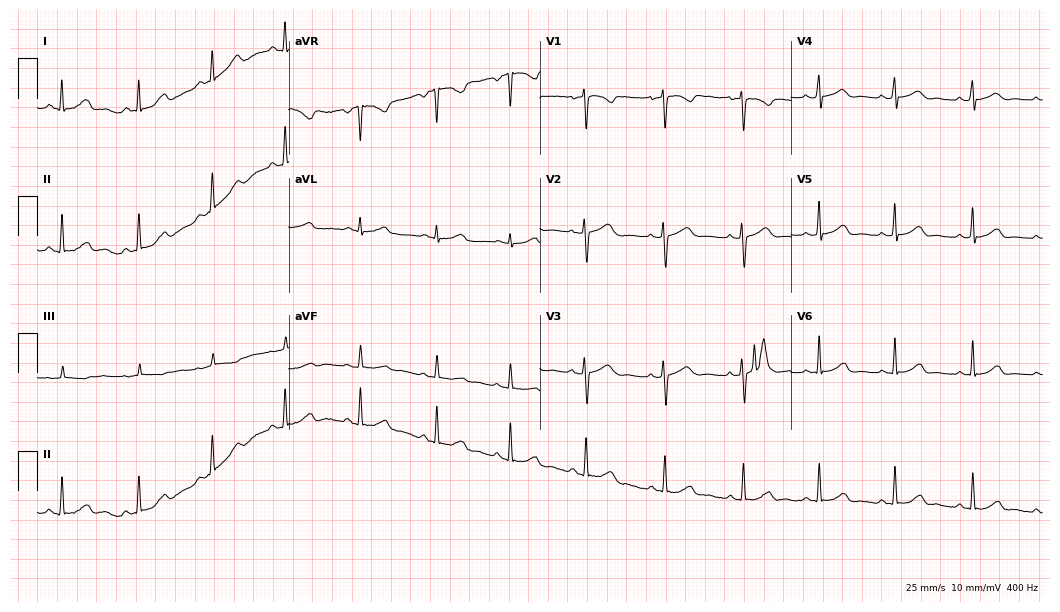
ECG (10.2-second recording at 400 Hz) — a 26-year-old female patient. Screened for six findings — first-degree AV block, right bundle branch block (RBBB), left bundle branch block (LBBB), sinus bradycardia, atrial fibrillation (AF), sinus tachycardia — none is recorded.